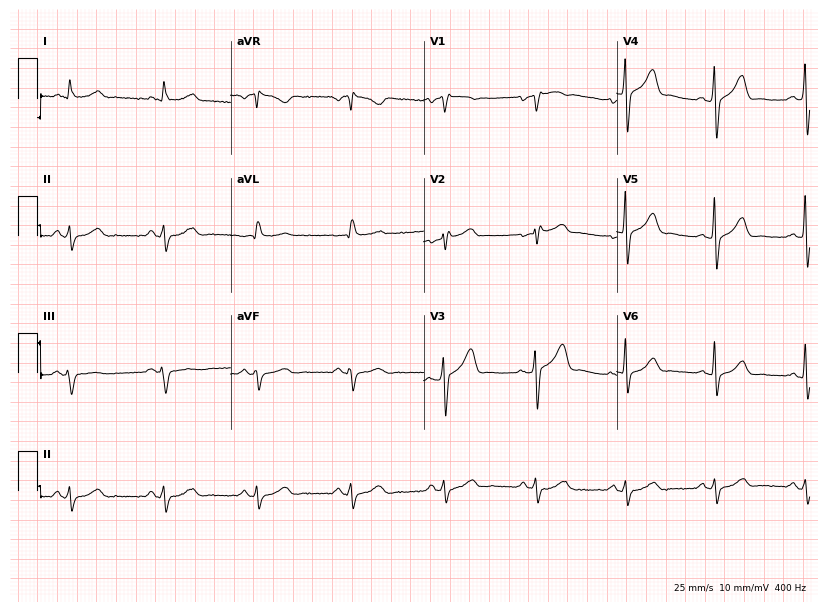
12-lead ECG from a man, 72 years old (7.9-second recording at 400 Hz). No first-degree AV block, right bundle branch block (RBBB), left bundle branch block (LBBB), sinus bradycardia, atrial fibrillation (AF) or sinus tachycardia recorded for this tracing. Other findings, if any, are not listed.